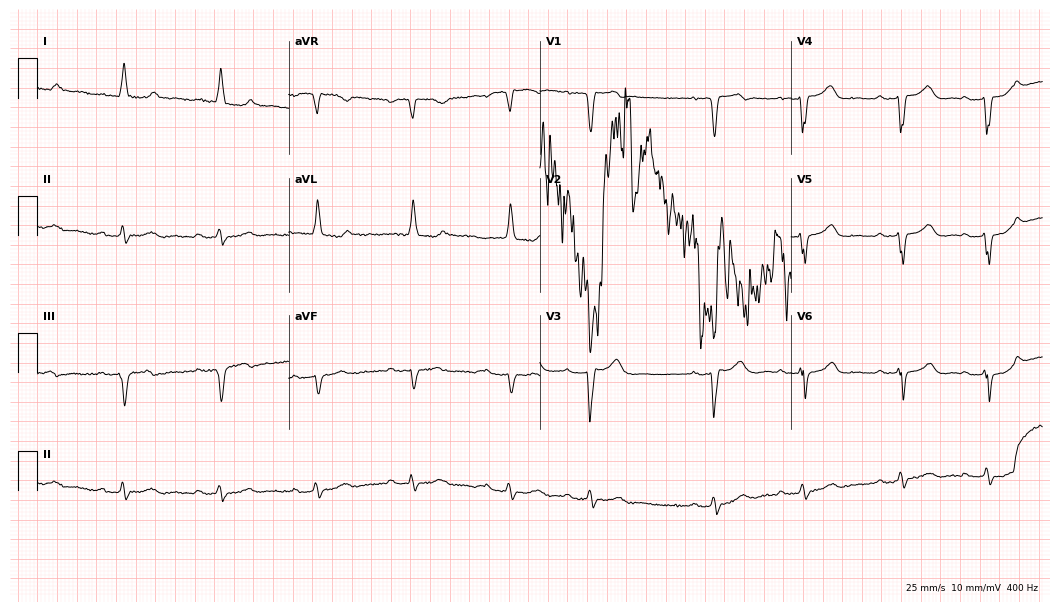
12-lead ECG from a male, 88 years old. Findings include atrial fibrillation.